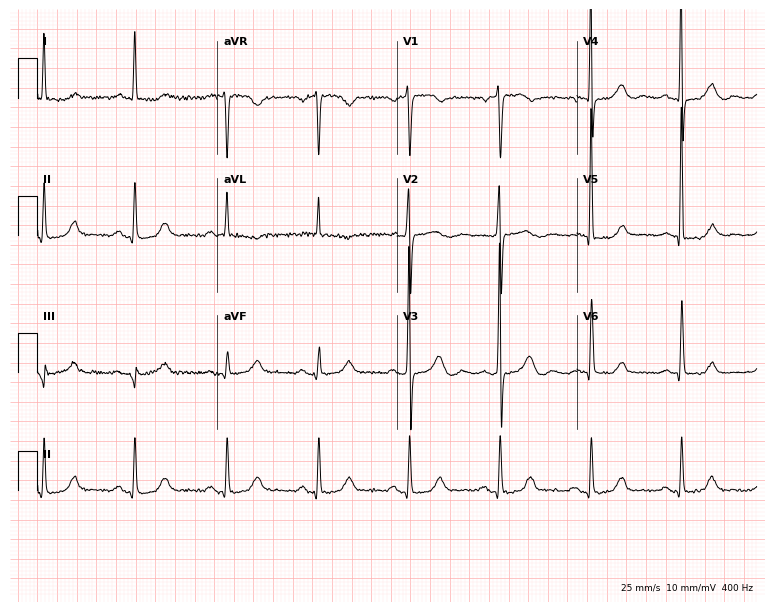
Resting 12-lead electrocardiogram (7.3-second recording at 400 Hz). Patient: a 74-year-old female. None of these six findings is recorded: first-degree AV block, right bundle branch block, left bundle branch block, sinus bradycardia, atrial fibrillation, sinus tachycardia.